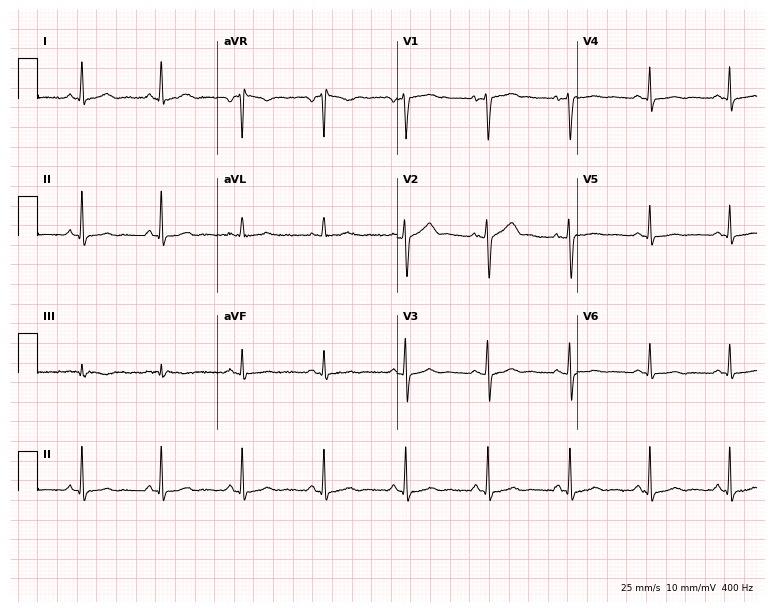
Standard 12-lead ECG recorded from a female, 45 years old. Read as a normal ECG.